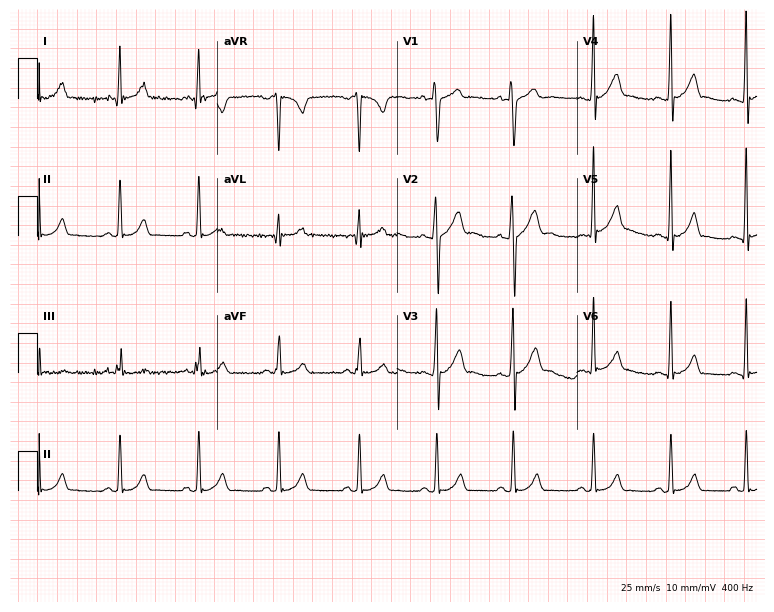
Resting 12-lead electrocardiogram. Patient: a man, 18 years old. Read as a normal ECG.